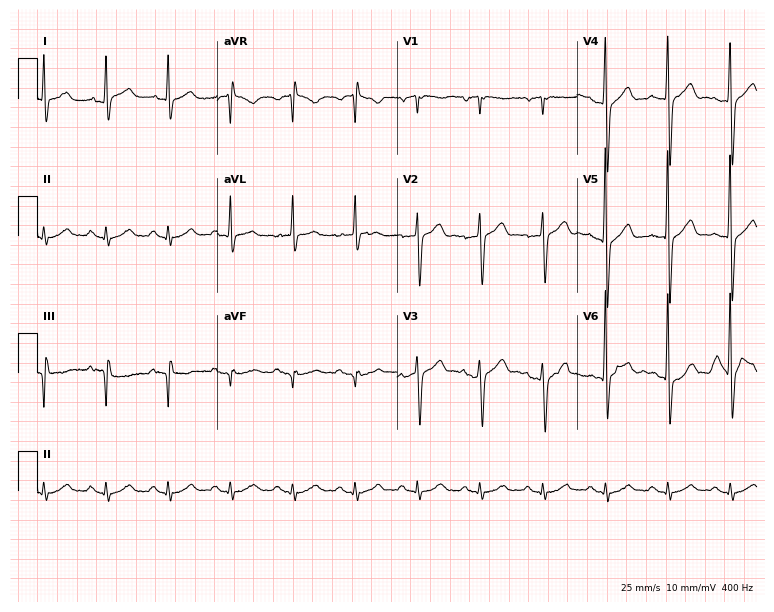
12-lead ECG from a man, 84 years old. Screened for six findings — first-degree AV block, right bundle branch block, left bundle branch block, sinus bradycardia, atrial fibrillation, sinus tachycardia — none is recorded. Other findings, if any, are not listed.